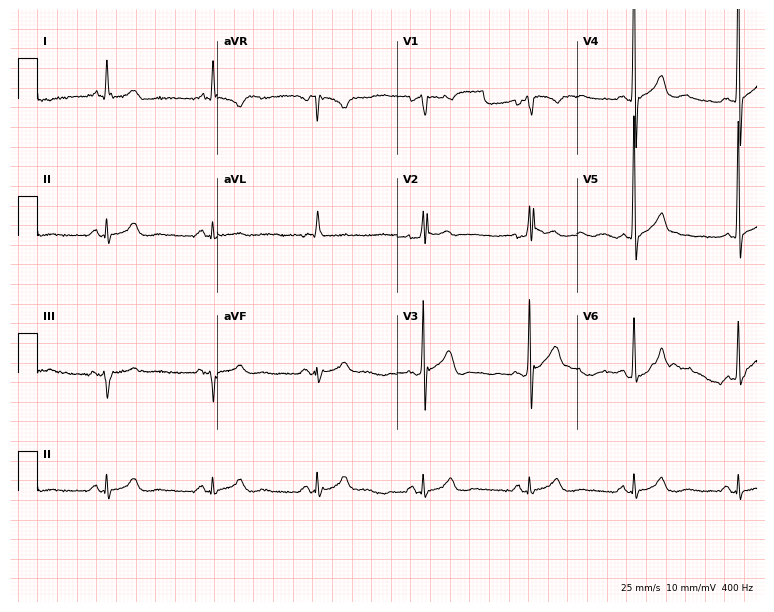
Electrocardiogram (7.3-second recording at 400 Hz), a female patient, 61 years old. Of the six screened findings (first-degree AV block, right bundle branch block (RBBB), left bundle branch block (LBBB), sinus bradycardia, atrial fibrillation (AF), sinus tachycardia), none is recorded. Findings outside these six are not listed.